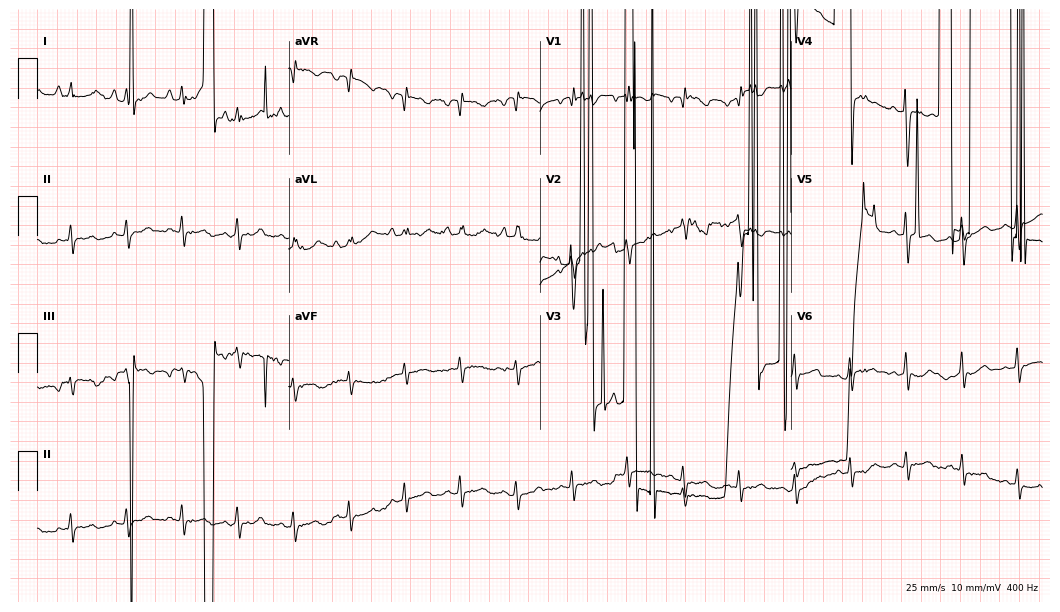
Resting 12-lead electrocardiogram. Patient: a woman, 72 years old. None of these six findings is recorded: first-degree AV block, right bundle branch block (RBBB), left bundle branch block (LBBB), sinus bradycardia, atrial fibrillation (AF), sinus tachycardia.